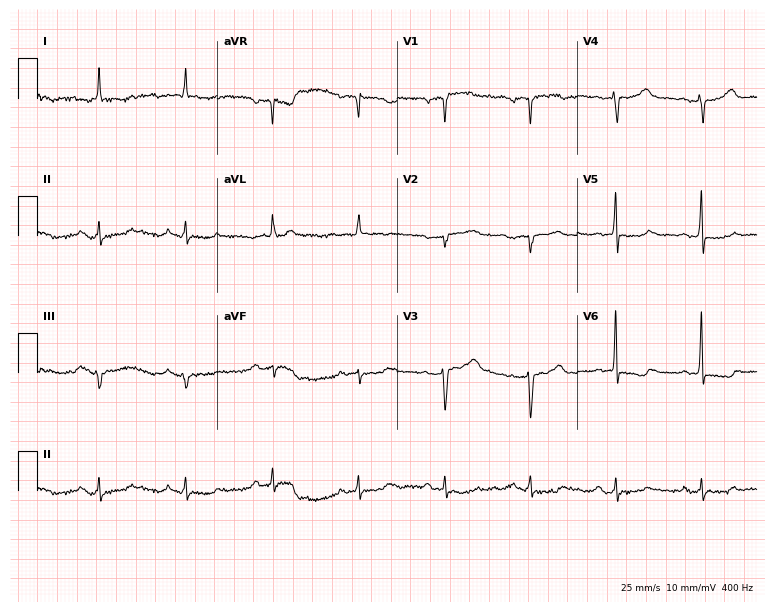
ECG — a 78-year-old female. Screened for six findings — first-degree AV block, right bundle branch block, left bundle branch block, sinus bradycardia, atrial fibrillation, sinus tachycardia — none is recorded.